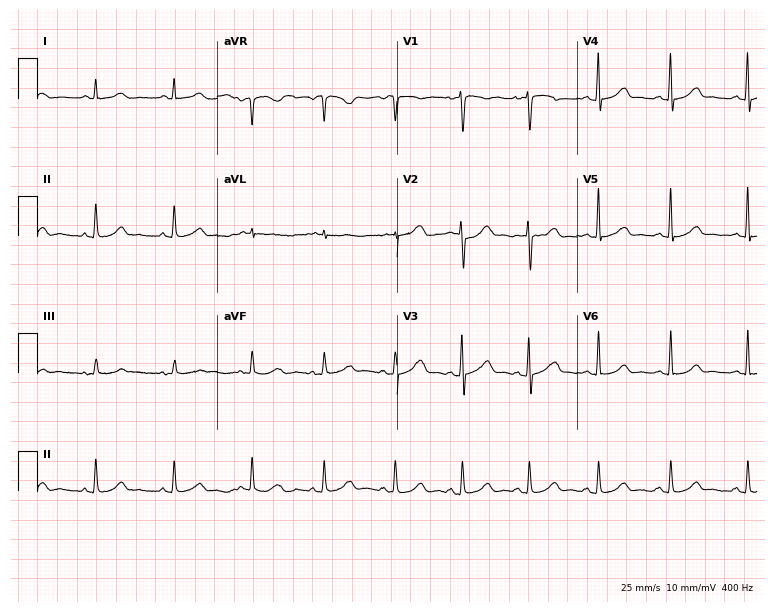
Standard 12-lead ECG recorded from a 37-year-old woman (7.3-second recording at 400 Hz). Read as a normal ECG.